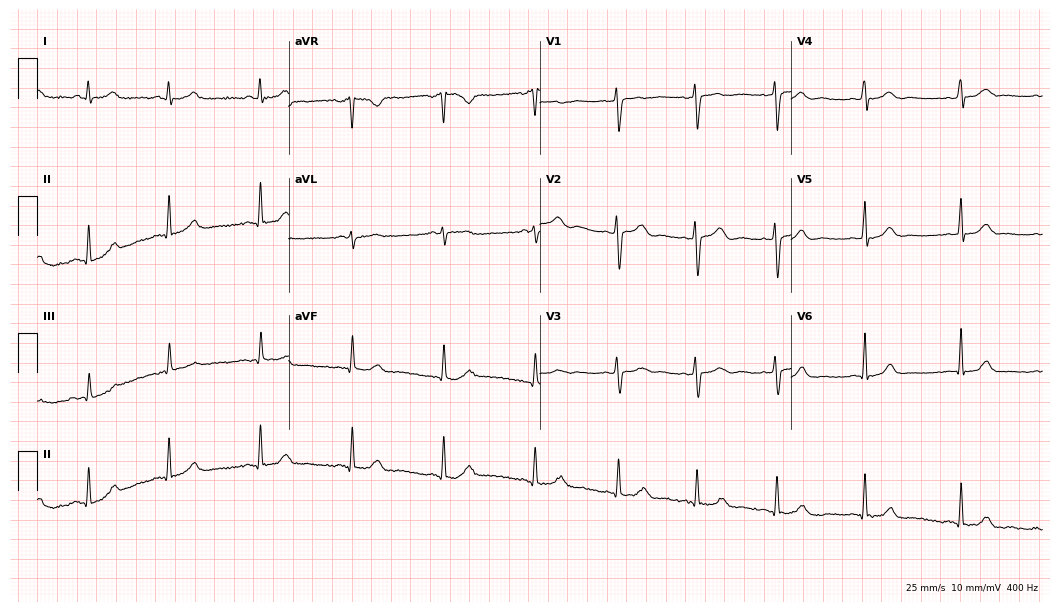
Electrocardiogram (10.2-second recording at 400 Hz), a woman, 27 years old. Of the six screened findings (first-degree AV block, right bundle branch block, left bundle branch block, sinus bradycardia, atrial fibrillation, sinus tachycardia), none is recorded. Other findings, if any, are not listed.